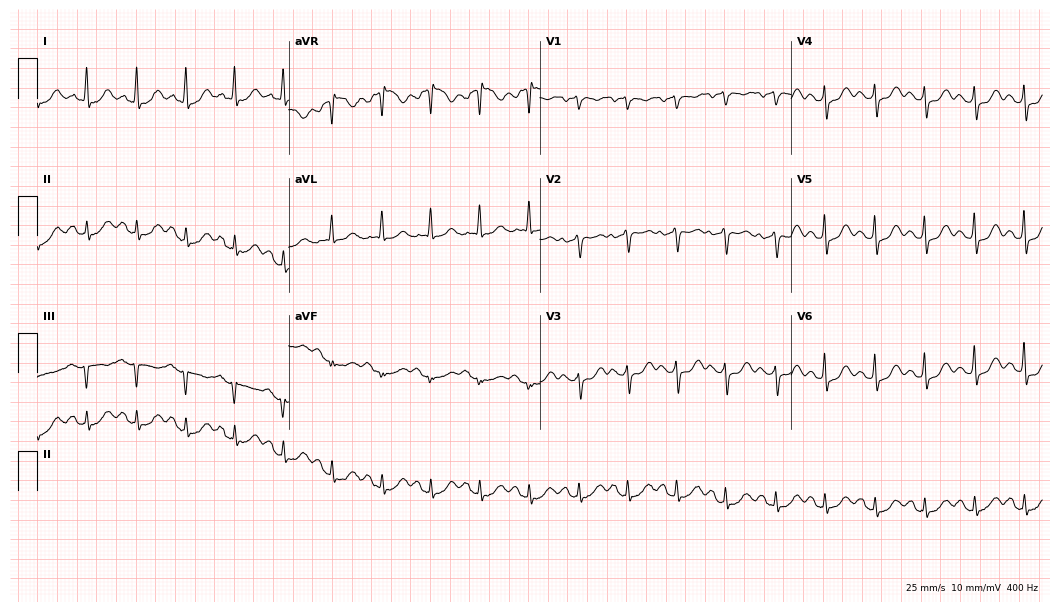
12-lead ECG from a 68-year-old female. Findings include sinus tachycardia (a sinus rate of 100 beats per minute or more).